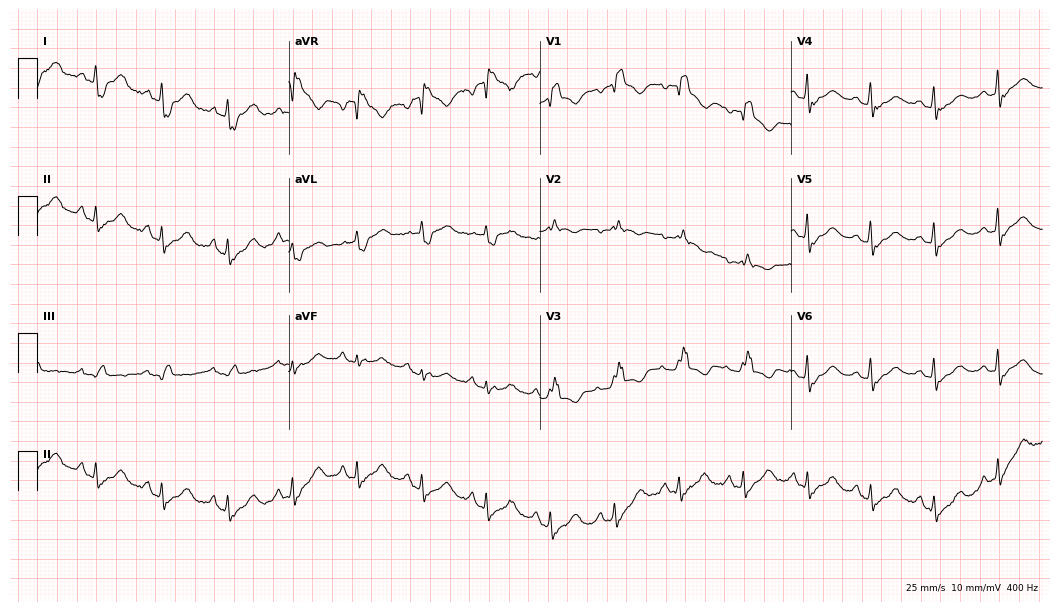
Resting 12-lead electrocardiogram. Patient: a 57-year-old female. The tracing shows right bundle branch block.